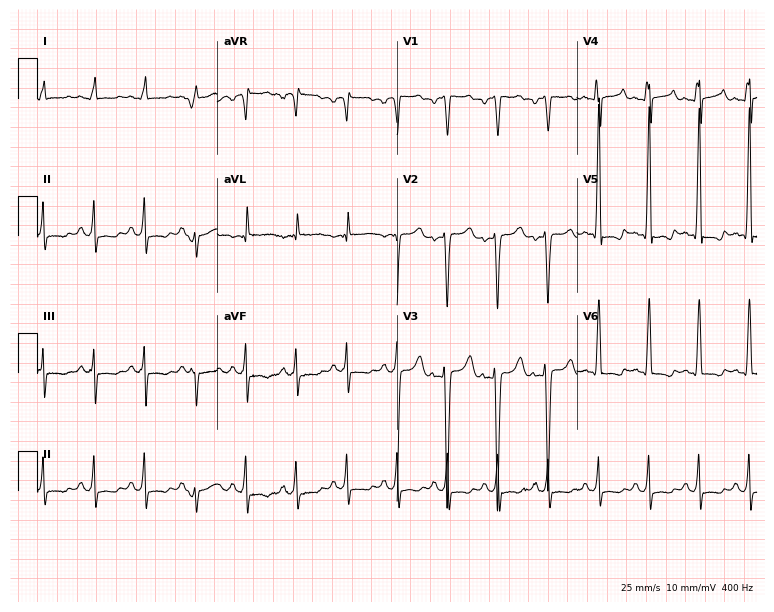
Electrocardiogram (7.3-second recording at 400 Hz), a 46-year-old female. Interpretation includes sinus tachycardia (a sinus rate of 100 beats per minute or more).